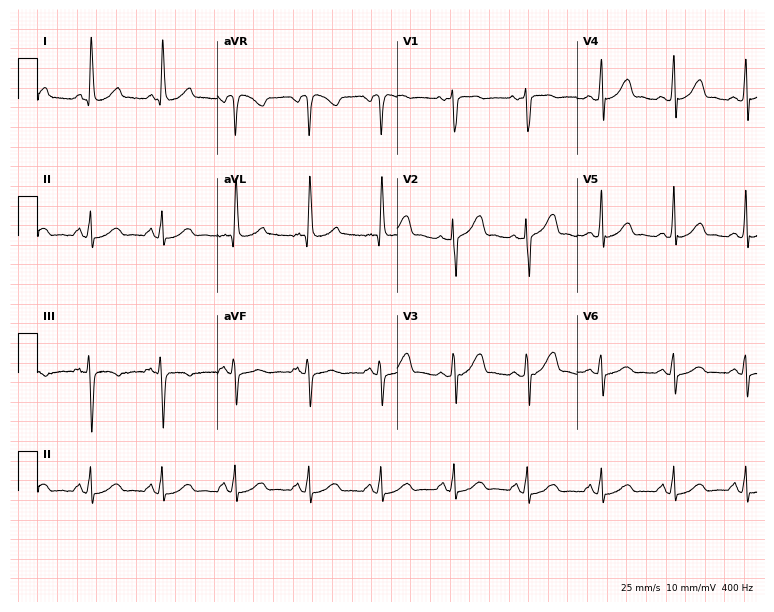
Electrocardiogram (7.3-second recording at 400 Hz), a female, 54 years old. Overall reading on record: normal ECG.